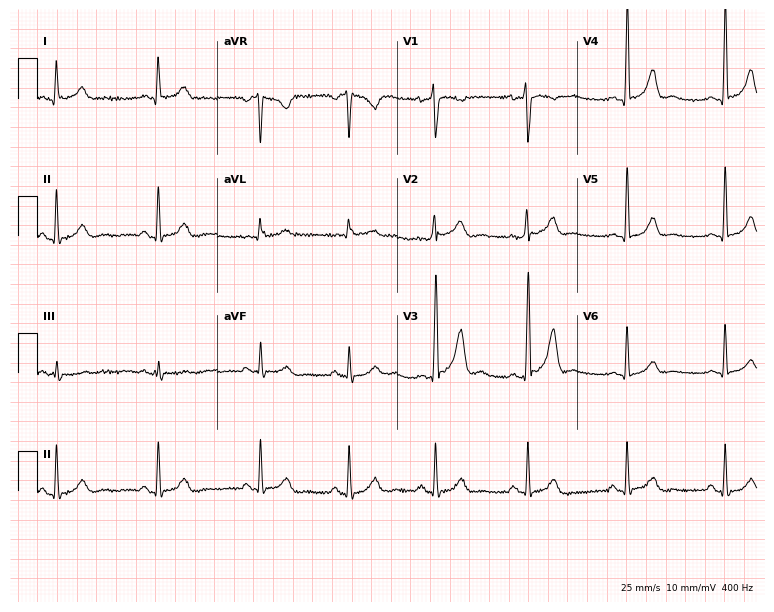
12-lead ECG from a 33-year-old male patient (7.3-second recording at 400 Hz). No first-degree AV block, right bundle branch block, left bundle branch block, sinus bradycardia, atrial fibrillation or sinus tachycardia recorded for this tracing.